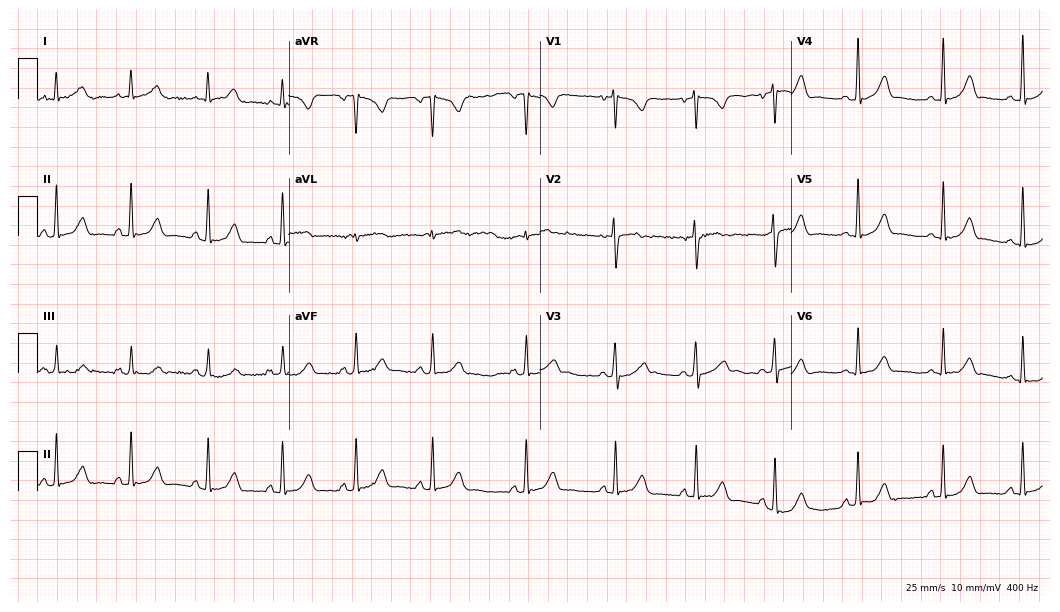
Electrocardiogram (10.2-second recording at 400 Hz), a woman, 20 years old. Overall reading on record: normal ECG.